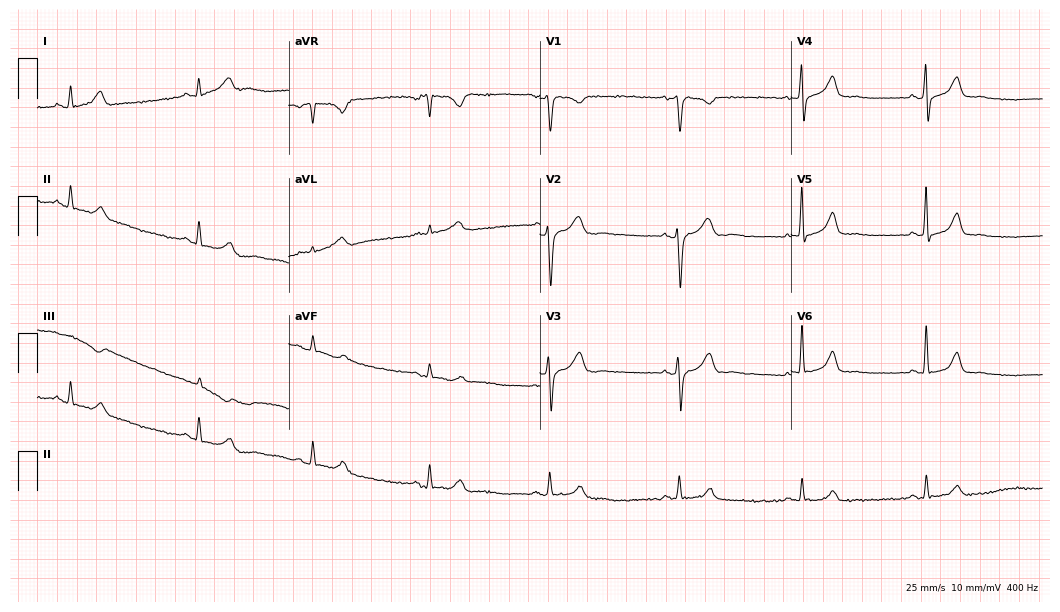
Standard 12-lead ECG recorded from a male patient, 40 years old (10.2-second recording at 400 Hz). Read as a normal ECG.